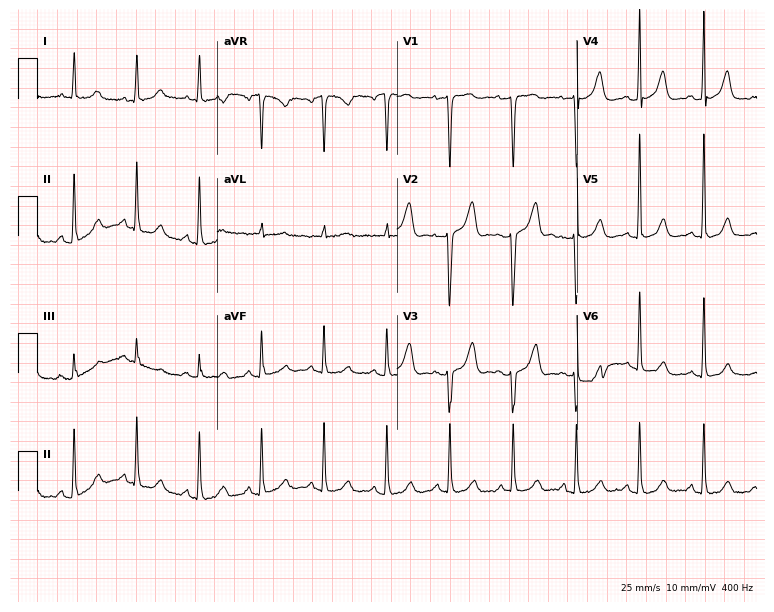
12-lead ECG (7.3-second recording at 400 Hz) from a female patient, 83 years old. Screened for six findings — first-degree AV block, right bundle branch block, left bundle branch block, sinus bradycardia, atrial fibrillation, sinus tachycardia — none is recorded.